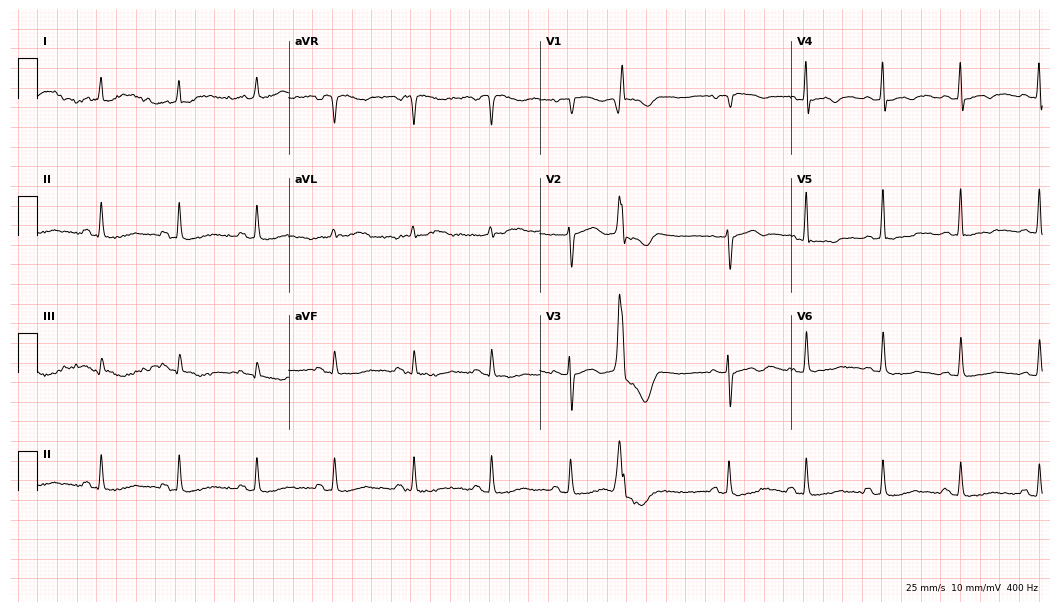
12-lead ECG (10.2-second recording at 400 Hz) from a 68-year-old female patient. Screened for six findings — first-degree AV block, right bundle branch block, left bundle branch block, sinus bradycardia, atrial fibrillation, sinus tachycardia — none is recorded.